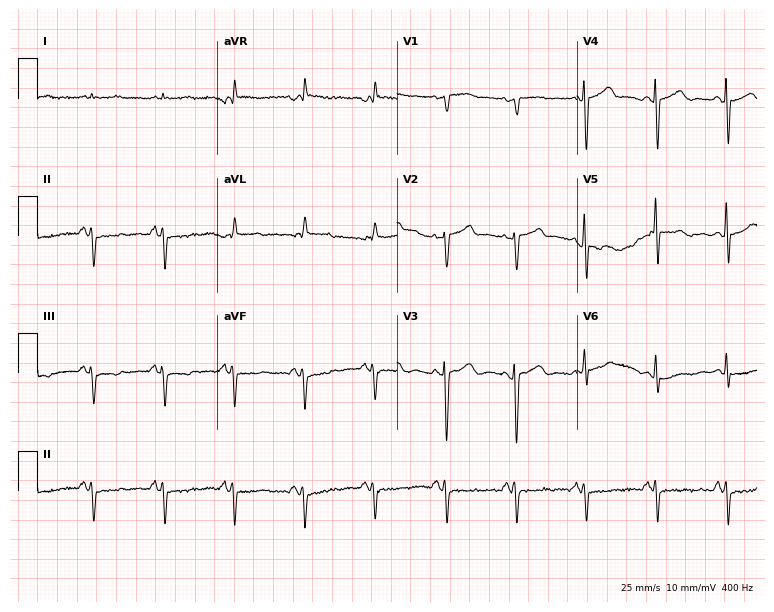
Resting 12-lead electrocardiogram (7.3-second recording at 400 Hz). Patient: a male, 77 years old. None of these six findings is recorded: first-degree AV block, right bundle branch block (RBBB), left bundle branch block (LBBB), sinus bradycardia, atrial fibrillation (AF), sinus tachycardia.